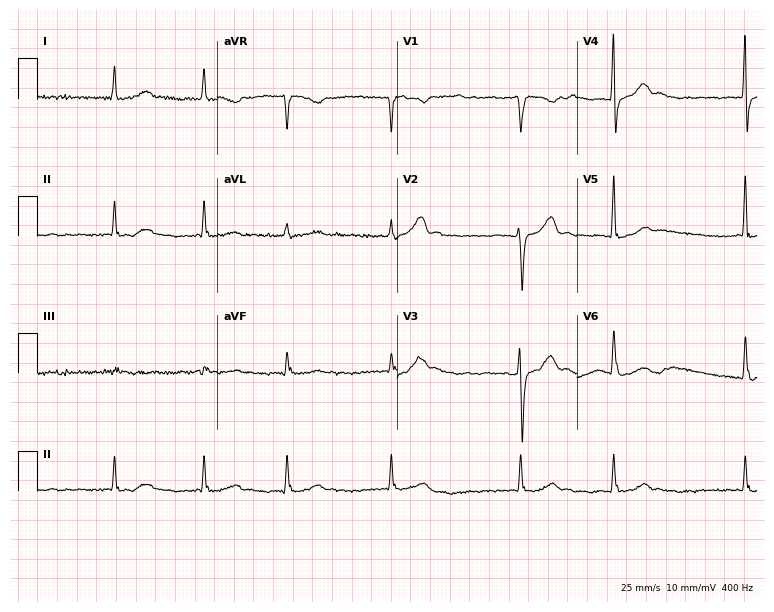
12-lead ECG from an 81-year-old woman. Findings include atrial fibrillation.